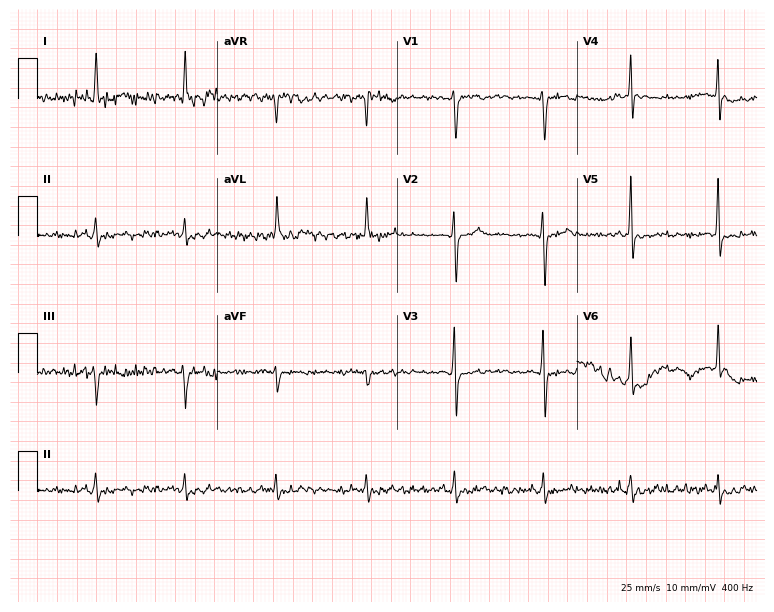
12-lead ECG (7.3-second recording at 400 Hz) from a female, 51 years old. Screened for six findings — first-degree AV block, right bundle branch block, left bundle branch block, sinus bradycardia, atrial fibrillation, sinus tachycardia — none is recorded.